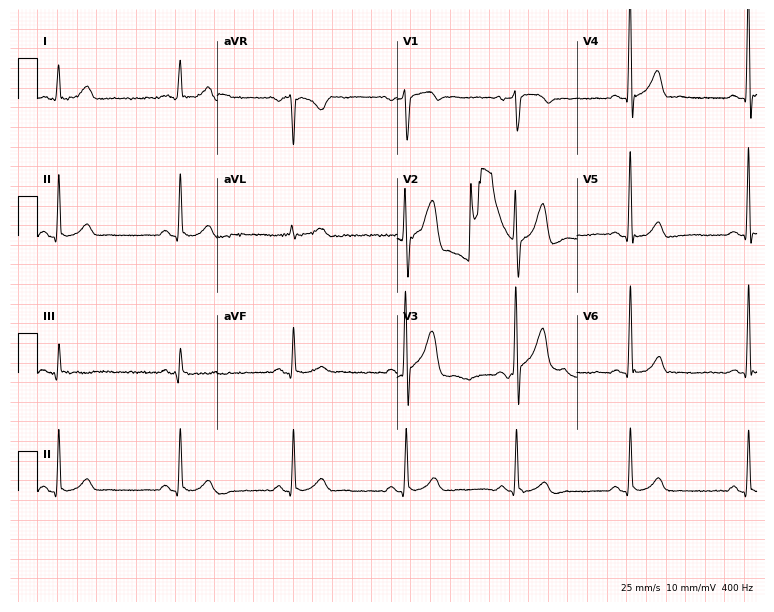
Electrocardiogram, a man, 42 years old. Overall reading on record: normal ECG.